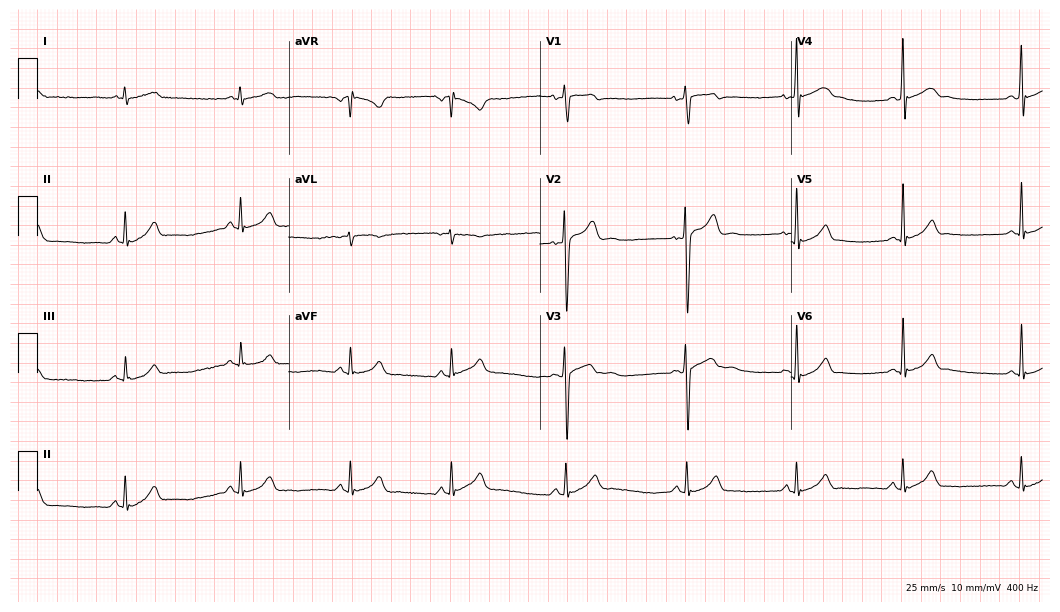
Standard 12-lead ECG recorded from a male patient, 18 years old. Read as a normal ECG.